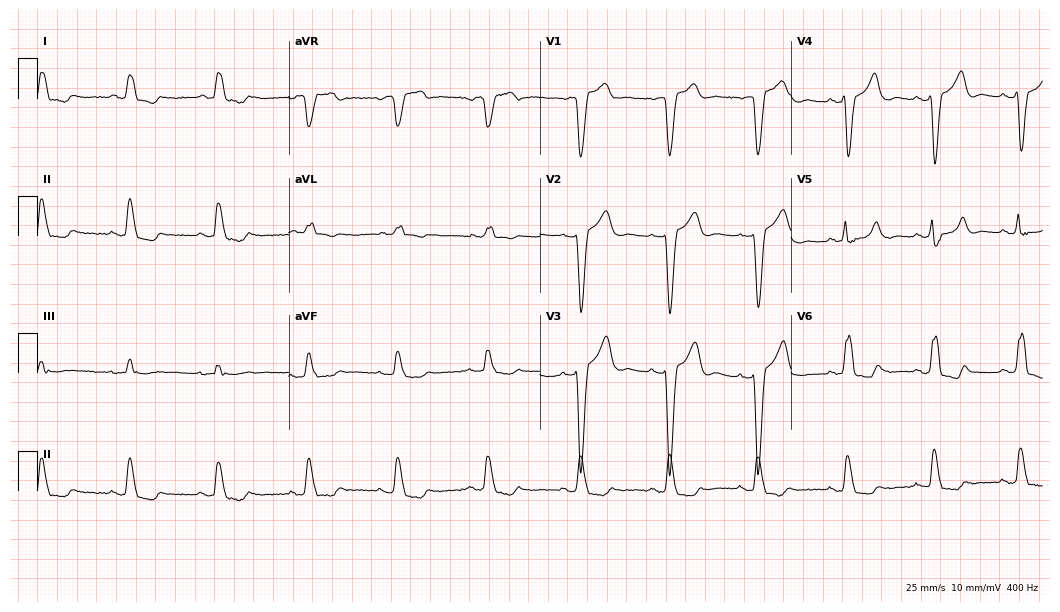
Resting 12-lead electrocardiogram. Patient: an 80-year-old female. The tracing shows left bundle branch block.